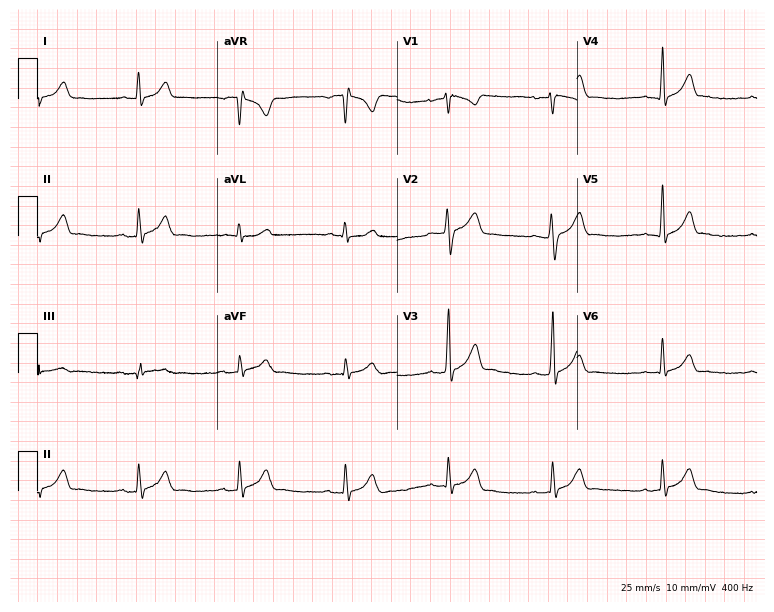
Standard 12-lead ECG recorded from a male patient, 25 years old. Read as a normal ECG.